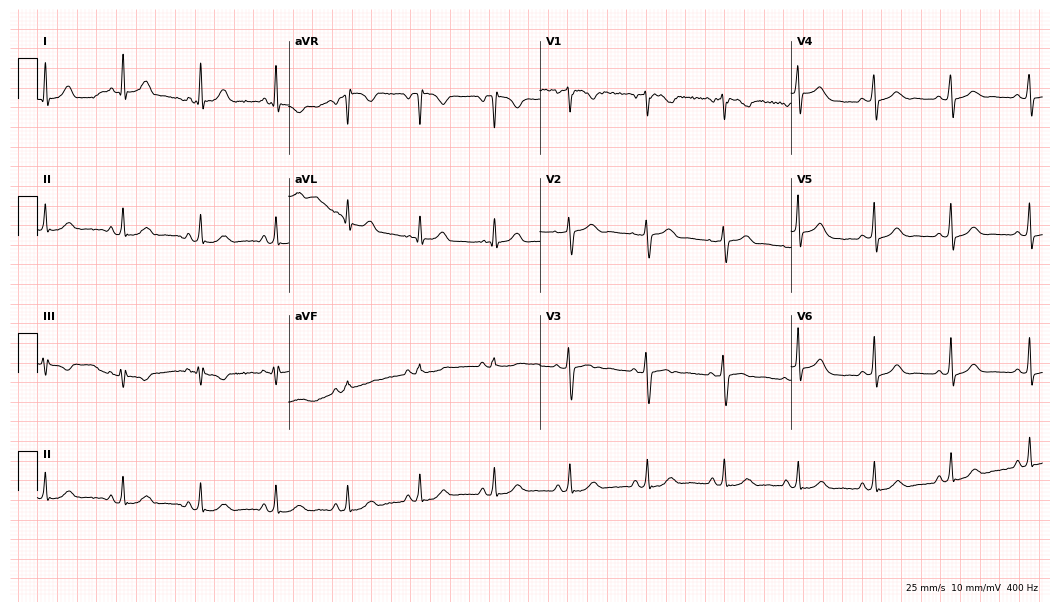
12-lead ECG from a woman, 46 years old. Recorded interpretation: within normal limits.